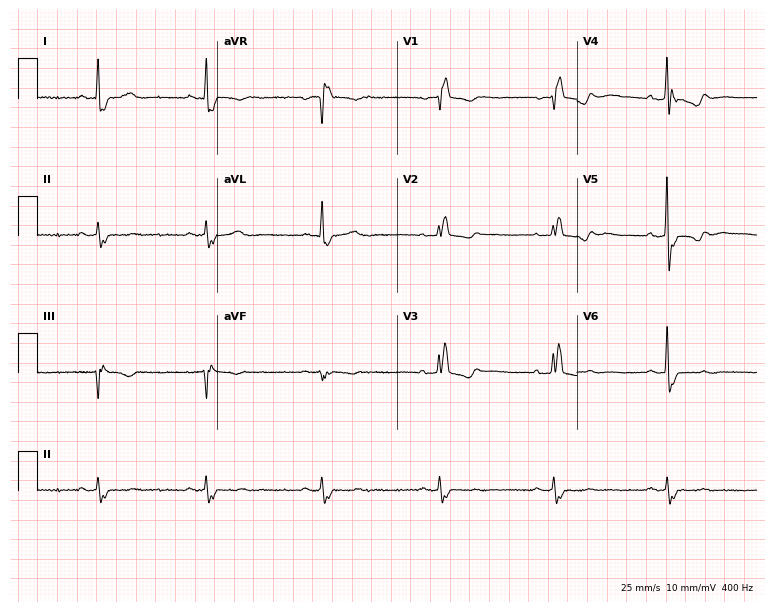
Resting 12-lead electrocardiogram (7.3-second recording at 400 Hz). Patient: a 50-year-old woman. The tracing shows right bundle branch block.